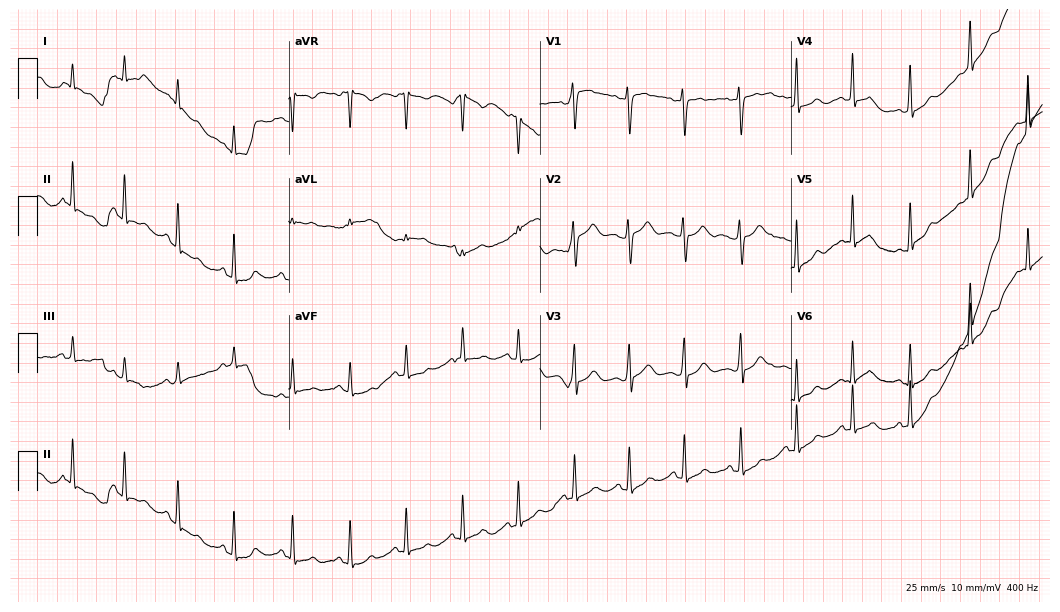
12-lead ECG (10.2-second recording at 400 Hz) from an 18-year-old woman. Screened for six findings — first-degree AV block, right bundle branch block (RBBB), left bundle branch block (LBBB), sinus bradycardia, atrial fibrillation (AF), sinus tachycardia — none is recorded. Other findings, if any, are not listed.